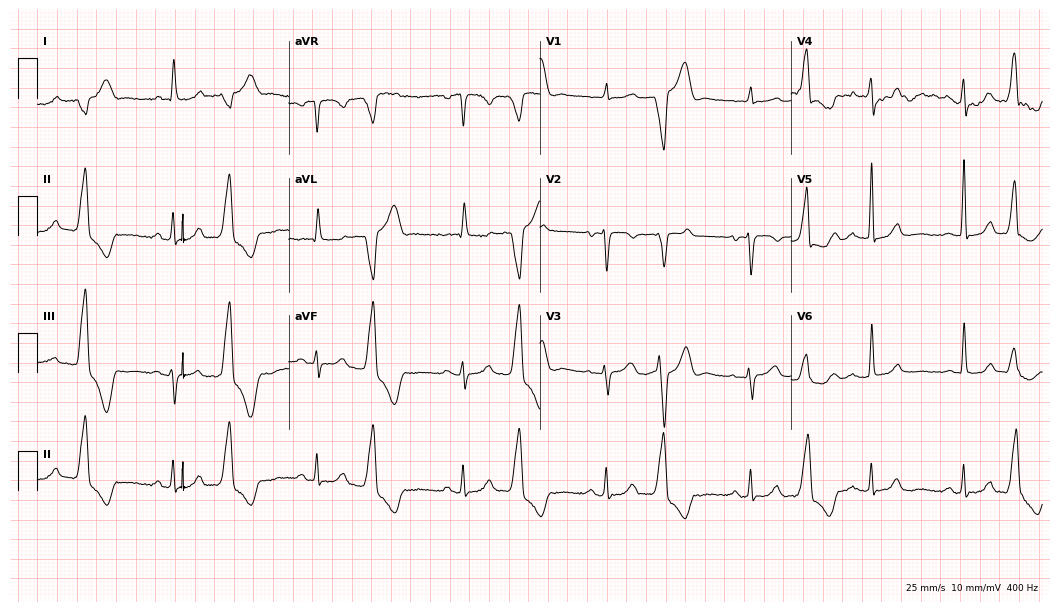
Resting 12-lead electrocardiogram. Patient: a woman, 77 years old. None of these six findings is recorded: first-degree AV block, right bundle branch block (RBBB), left bundle branch block (LBBB), sinus bradycardia, atrial fibrillation (AF), sinus tachycardia. Other findings, if any, are not listed.